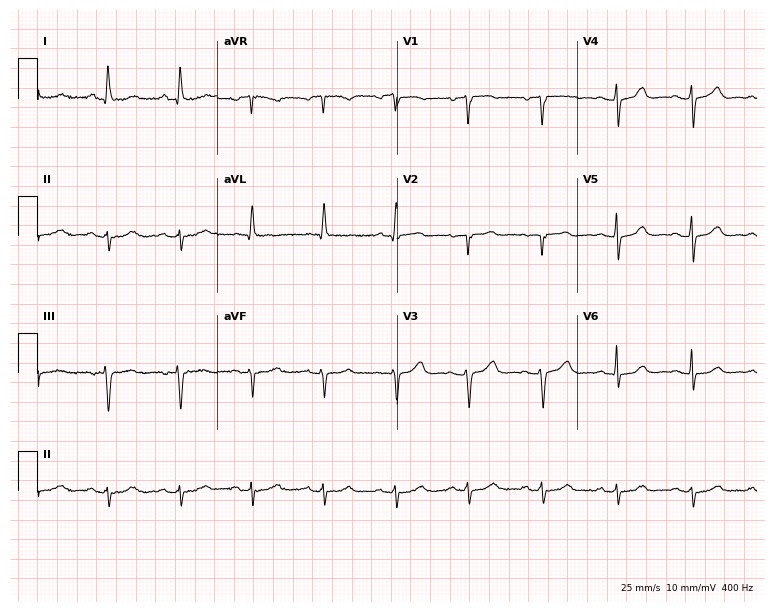
ECG — a female patient, 73 years old. Screened for six findings — first-degree AV block, right bundle branch block, left bundle branch block, sinus bradycardia, atrial fibrillation, sinus tachycardia — none is recorded.